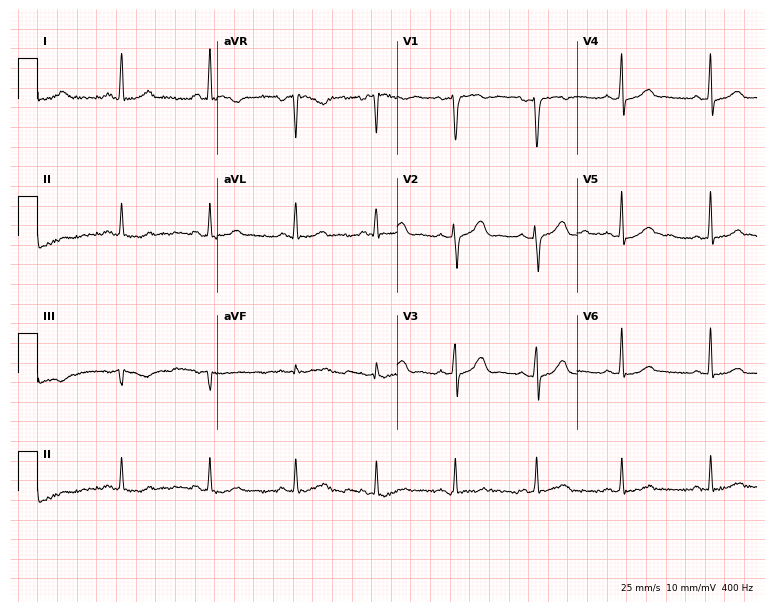
Electrocardiogram, a female patient, 46 years old. Of the six screened findings (first-degree AV block, right bundle branch block, left bundle branch block, sinus bradycardia, atrial fibrillation, sinus tachycardia), none is recorded.